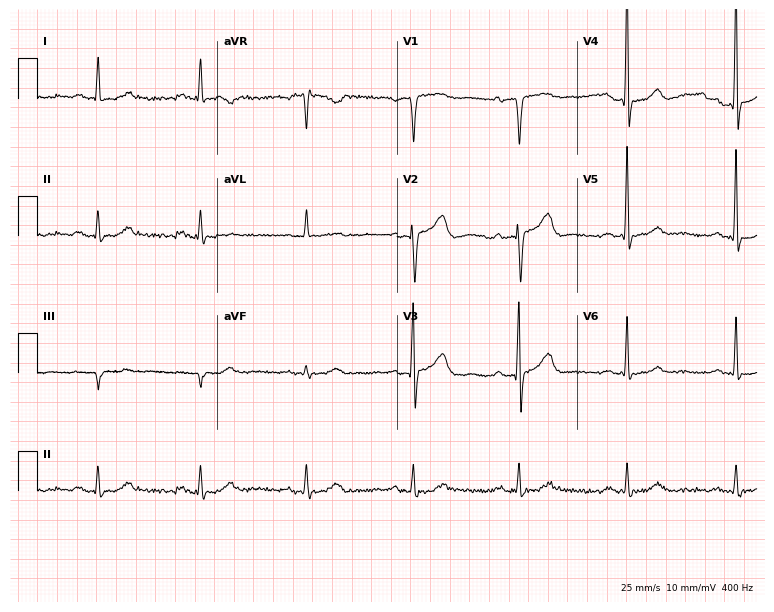
Electrocardiogram, a man, 78 years old. Of the six screened findings (first-degree AV block, right bundle branch block (RBBB), left bundle branch block (LBBB), sinus bradycardia, atrial fibrillation (AF), sinus tachycardia), none is recorded.